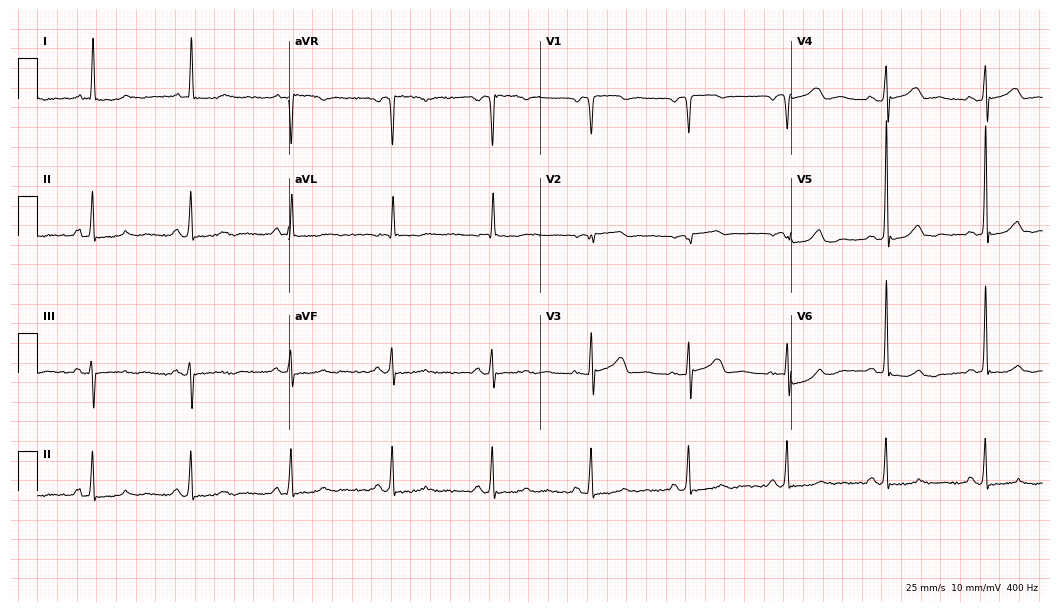
12-lead ECG from a male patient, 73 years old. Recorded interpretation: within normal limits.